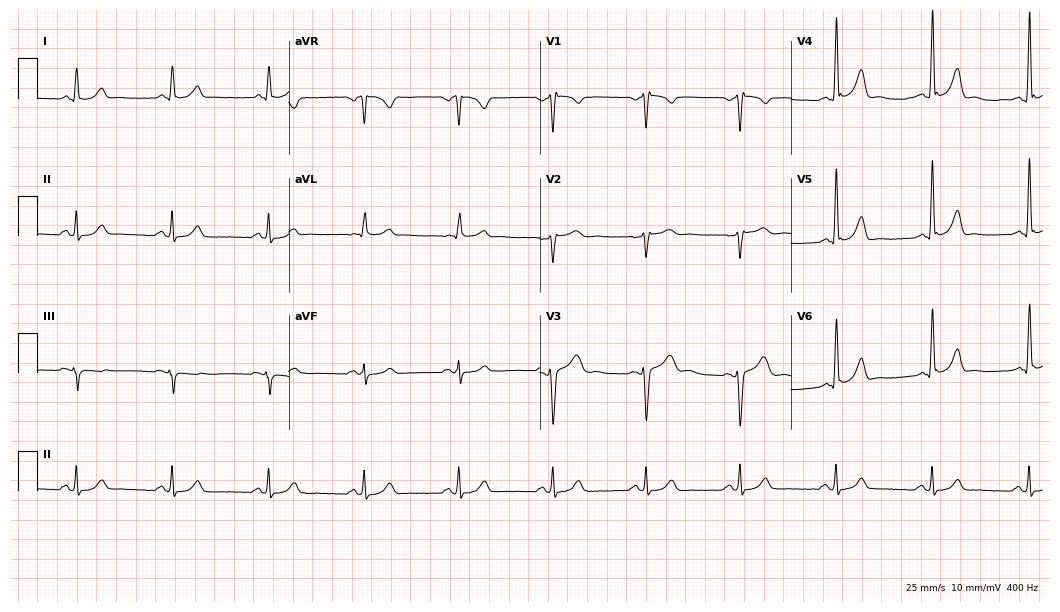
12-lead ECG (10.2-second recording at 400 Hz) from a 57-year-old man. Labelled as a normal ECG.